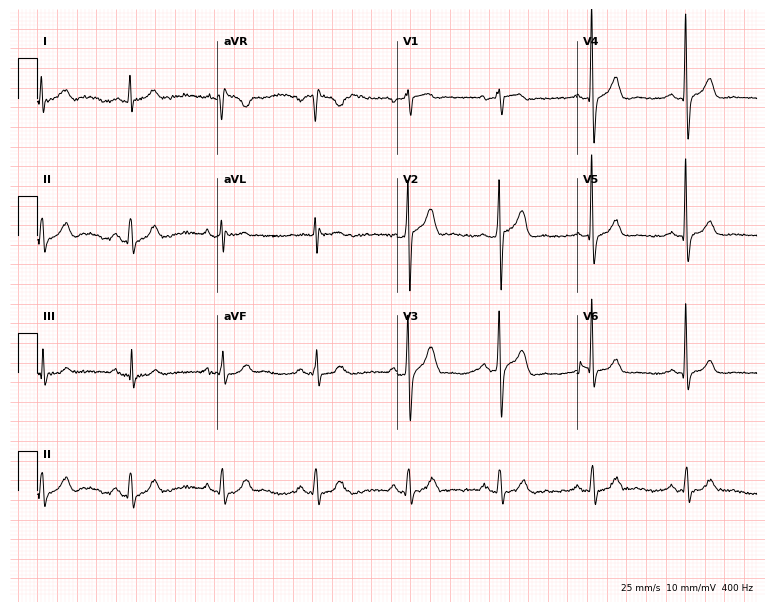
12-lead ECG from a man, 62 years old. Labelled as a normal ECG.